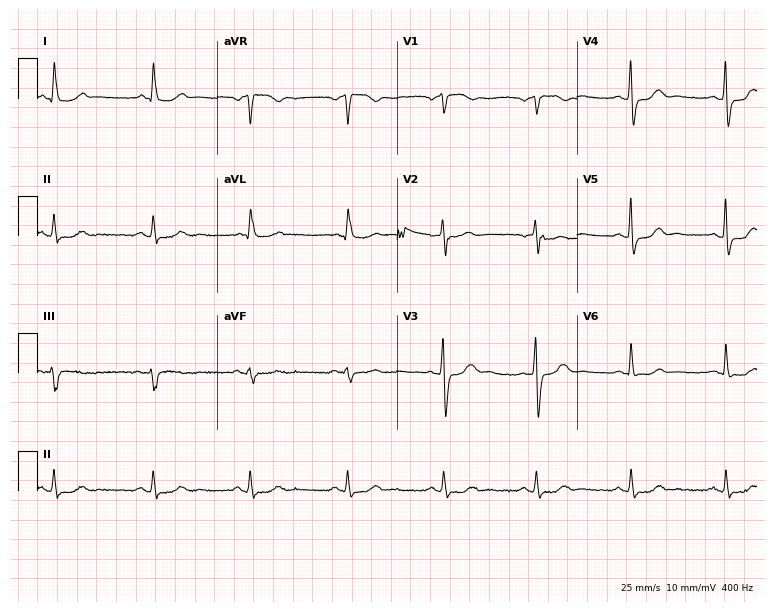
12-lead ECG from a 61-year-old woman. Recorded interpretation: within normal limits.